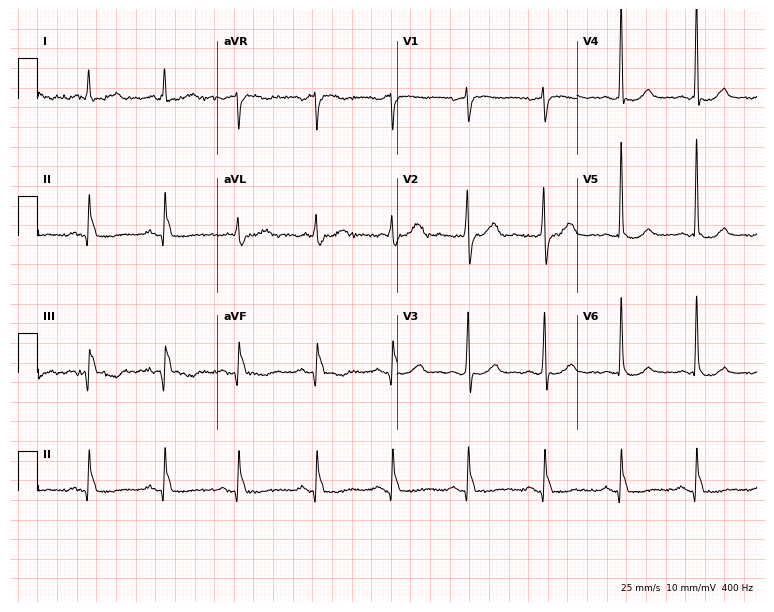
Electrocardiogram, a female, 71 years old. Of the six screened findings (first-degree AV block, right bundle branch block, left bundle branch block, sinus bradycardia, atrial fibrillation, sinus tachycardia), none is recorded. Findings outside these six are not listed.